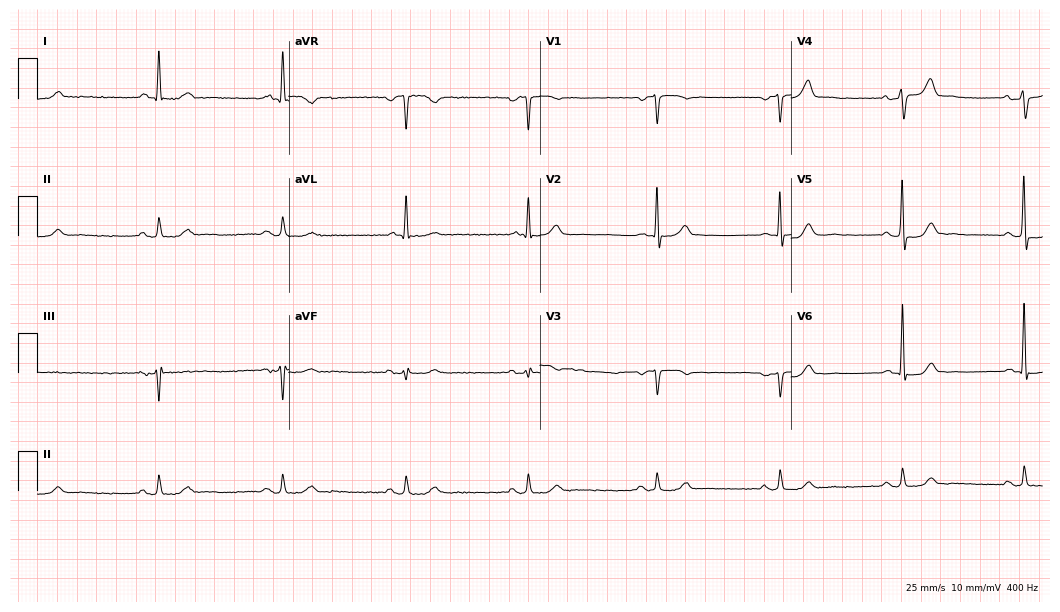
Electrocardiogram, a 68-year-old male patient. Of the six screened findings (first-degree AV block, right bundle branch block, left bundle branch block, sinus bradycardia, atrial fibrillation, sinus tachycardia), none is recorded.